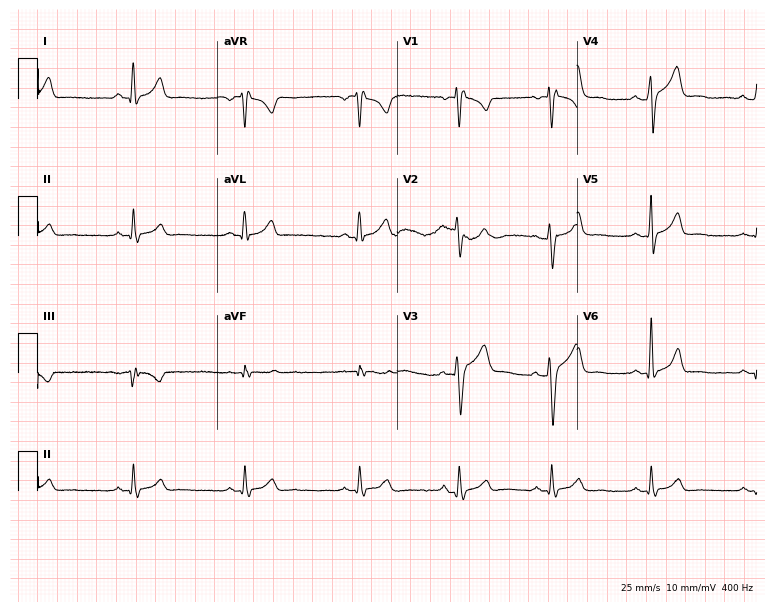
Resting 12-lead electrocardiogram (7.3-second recording at 400 Hz). Patient: a 23-year-old male. Read as a normal ECG.